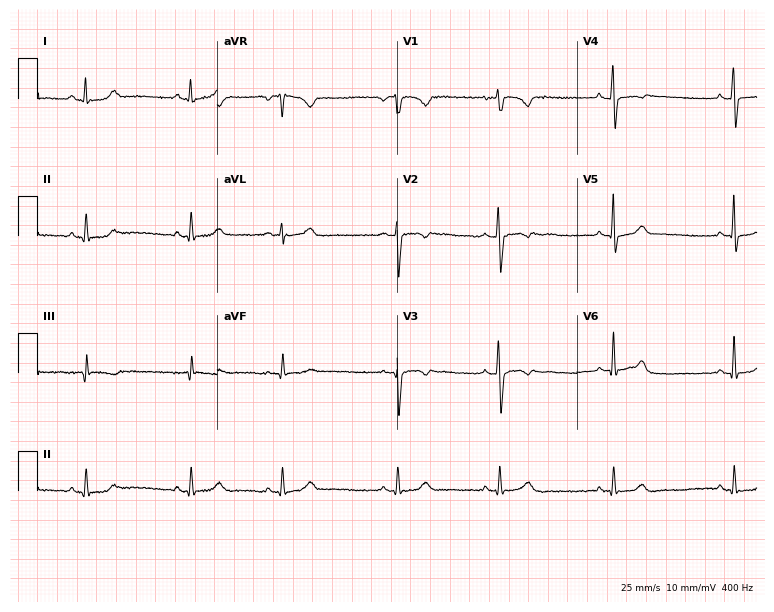
ECG — a woman, 26 years old. Screened for six findings — first-degree AV block, right bundle branch block (RBBB), left bundle branch block (LBBB), sinus bradycardia, atrial fibrillation (AF), sinus tachycardia — none is recorded. Only these six findings were labelled.